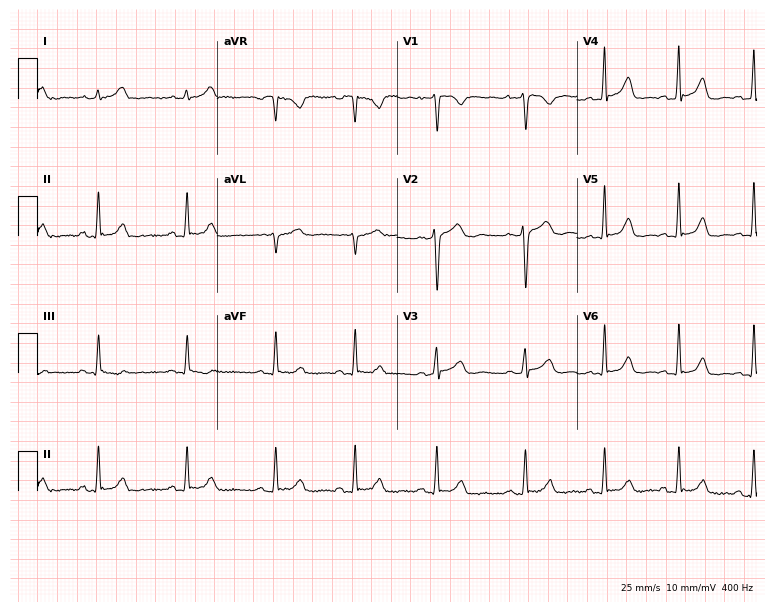
12-lead ECG from a woman, 22 years old. Screened for six findings — first-degree AV block, right bundle branch block, left bundle branch block, sinus bradycardia, atrial fibrillation, sinus tachycardia — none is recorded. Only these six findings were labelled.